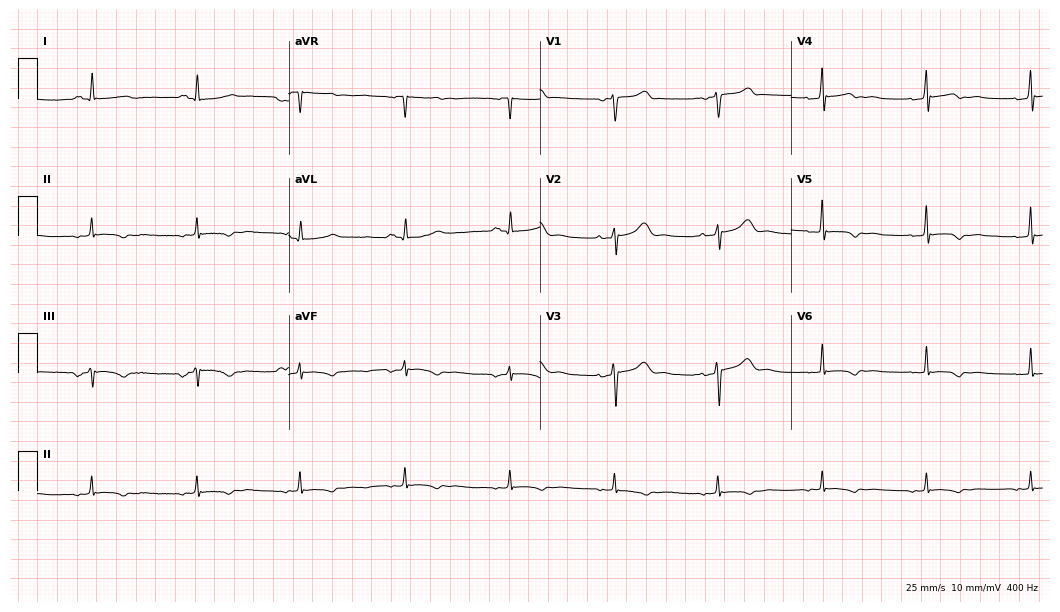
Standard 12-lead ECG recorded from a 52-year-old female (10.2-second recording at 400 Hz). None of these six findings is recorded: first-degree AV block, right bundle branch block, left bundle branch block, sinus bradycardia, atrial fibrillation, sinus tachycardia. Other findings, if any, are not listed.